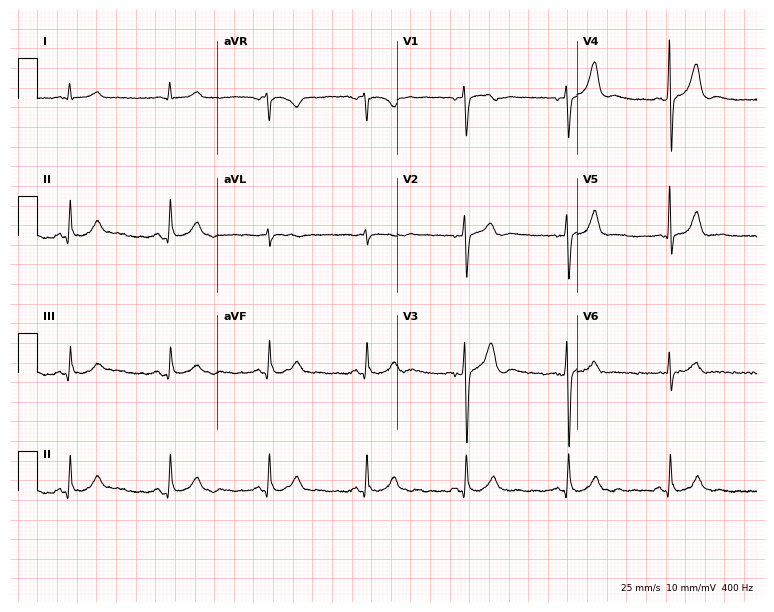
12-lead ECG from a man, 55 years old. No first-degree AV block, right bundle branch block (RBBB), left bundle branch block (LBBB), sinus bradycardia, atrial fibrillation (AF) or sinus tachycardia recorded for this tracing.